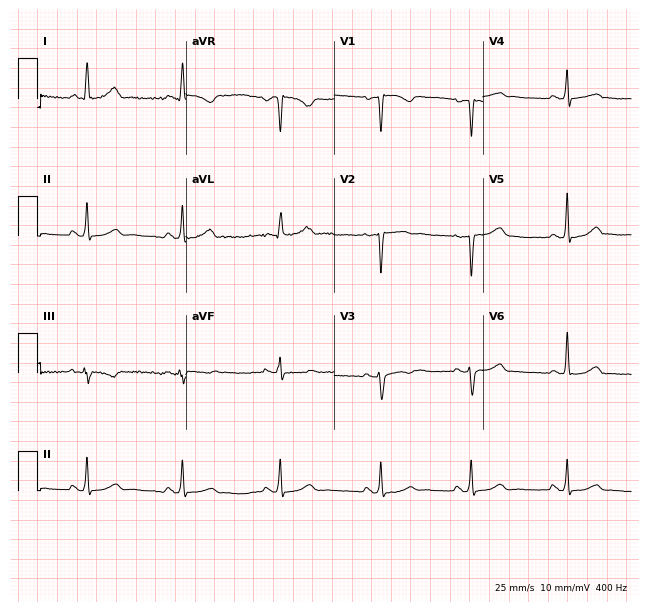
12-lead ECG (6.1-second recording at 400 Hz) from a woman, 32 years old. Labelled as a normal ECG.